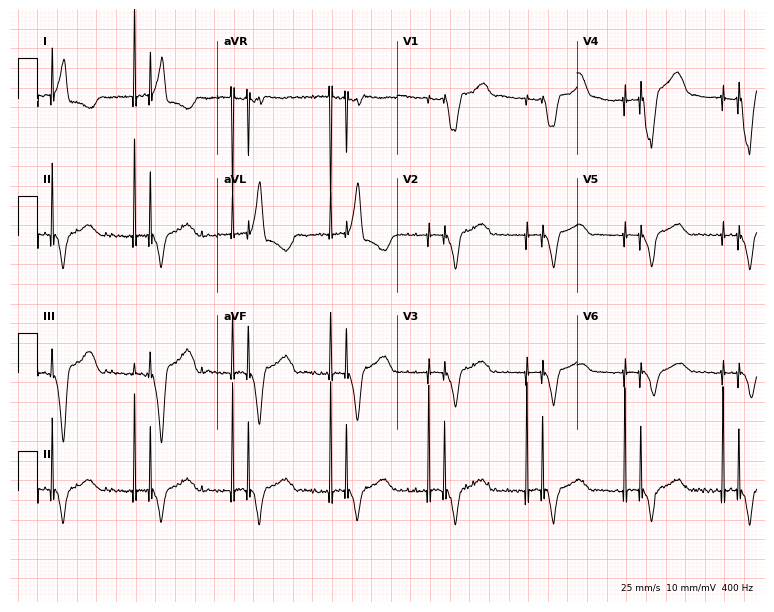
Electrocardiogram (7.3-second recording at 400 Hz), an 83-year-old female. Of the six screened findings (first-degree AV block, right bundle branch block (RBBB), left bundle branch block (LBBB), sinus bradycardia, atrial fibrillation (AF), sinus tachycardia), none is recorded. Other findings, if any, are not listed.